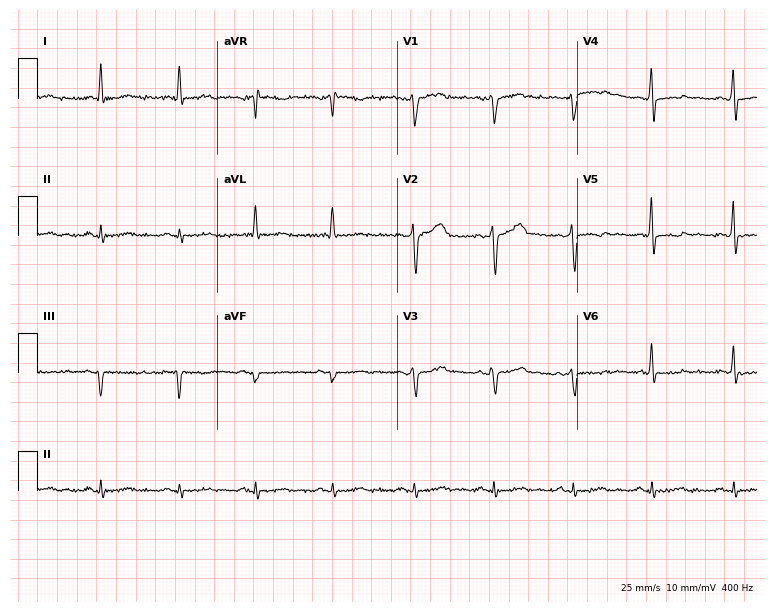
ECG — a man, 53 years old. Screened for six findings — first-degree AV block, right bundle branch block, left bundle branch block, sinus bradycardia, atrial fibrillation, sinus tachycardia — none is recorded. Only these six findings were labelled.